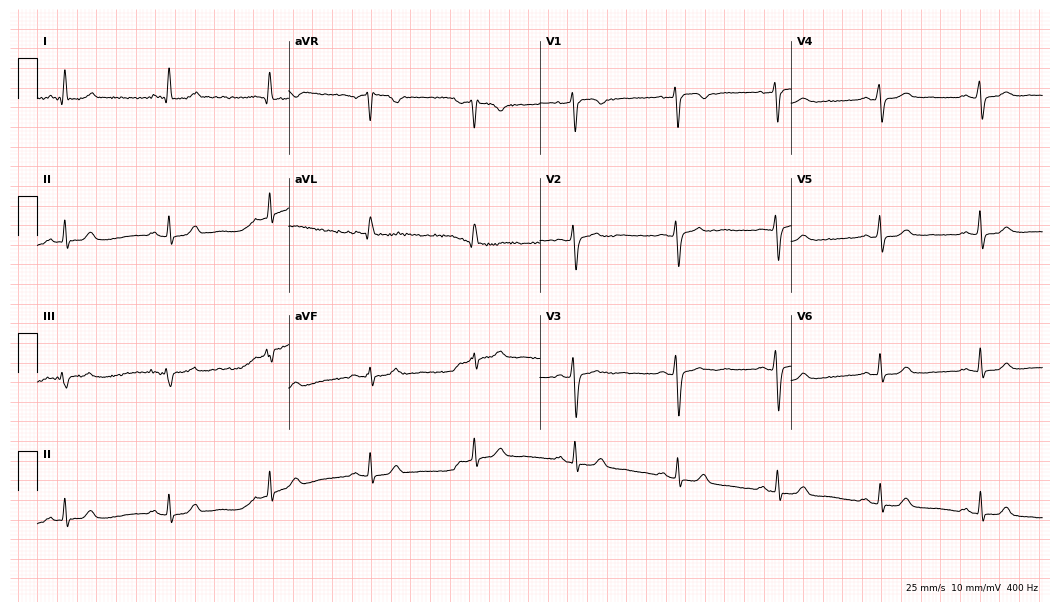
Resting 12-lead electrocardiogram. Patient: a 56-year-old female. None of these six findings is recorded: first-degree AV block, right bundle branch block, left bundle branch block, sinus bradycardia, atrial fibrillation, sinus tachycardia. Other findings, if any, are not listed.